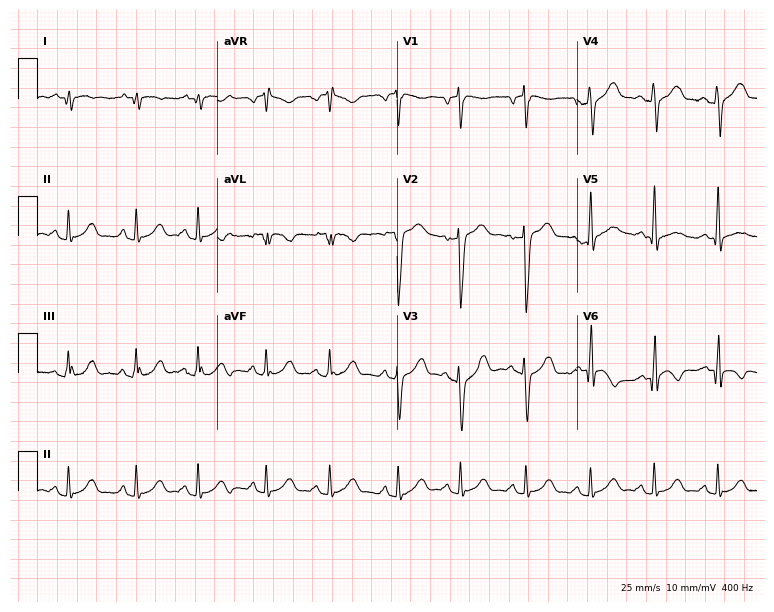
Resting 12-lead electrocardiogram (7.3-second recording at 400 Hz). Patient: a 35-year-old male. None of these six findings is recorded: first-degree AV block, right bundle branch block, left bundle branch block, sinus bradycardia, atrial fibrillation, sinus tachycardia.